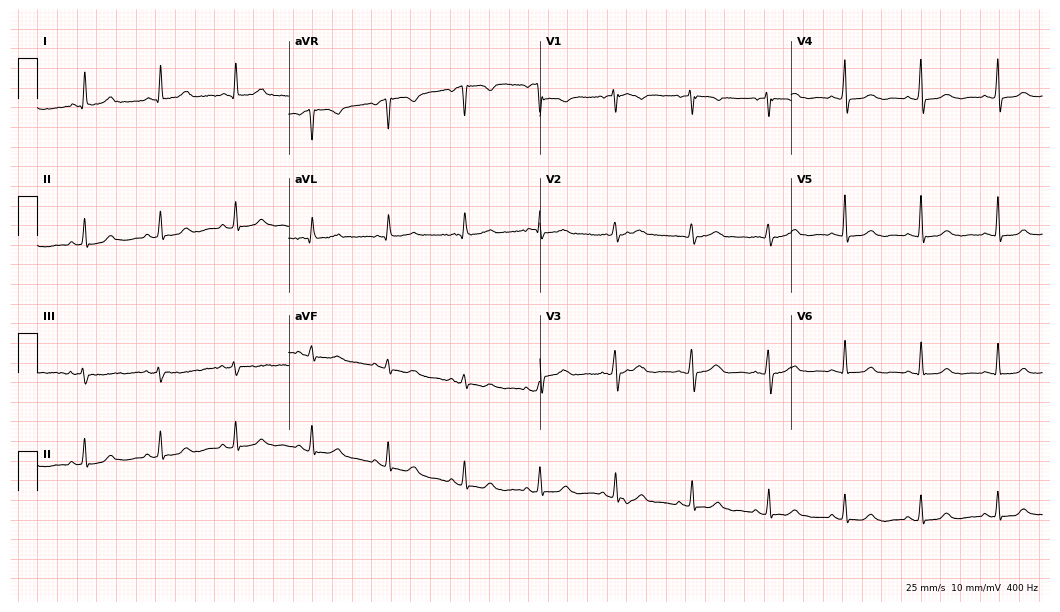
Standard 12-lead ECG recorded from a female patient, 70 years old (10.2-second recording at 400 Hz). Read as a normal ECG.